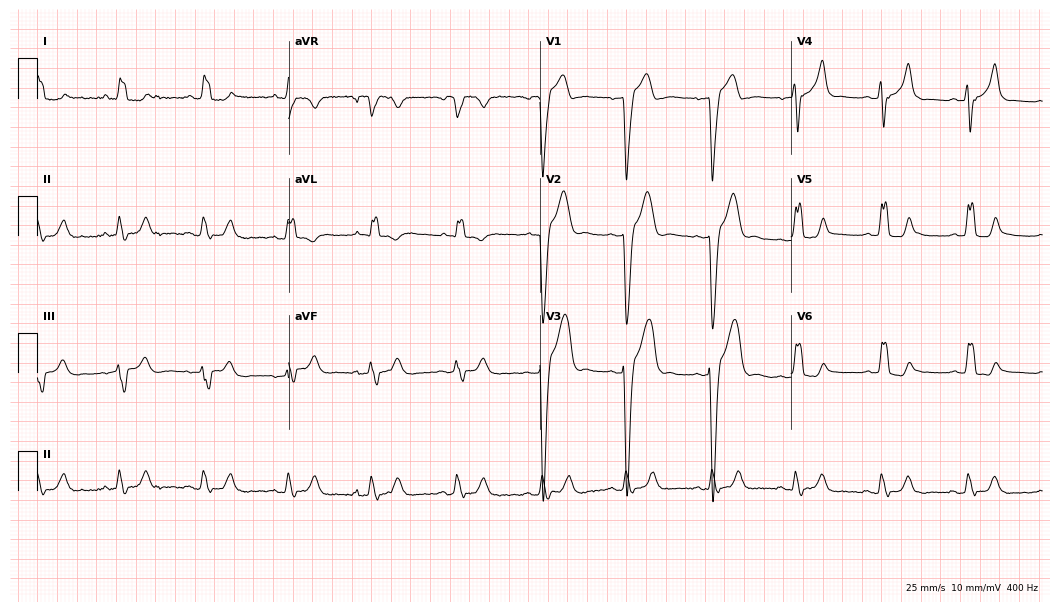
12-lead ECG from a 44-year-old male. Findings include left bundle branch block.